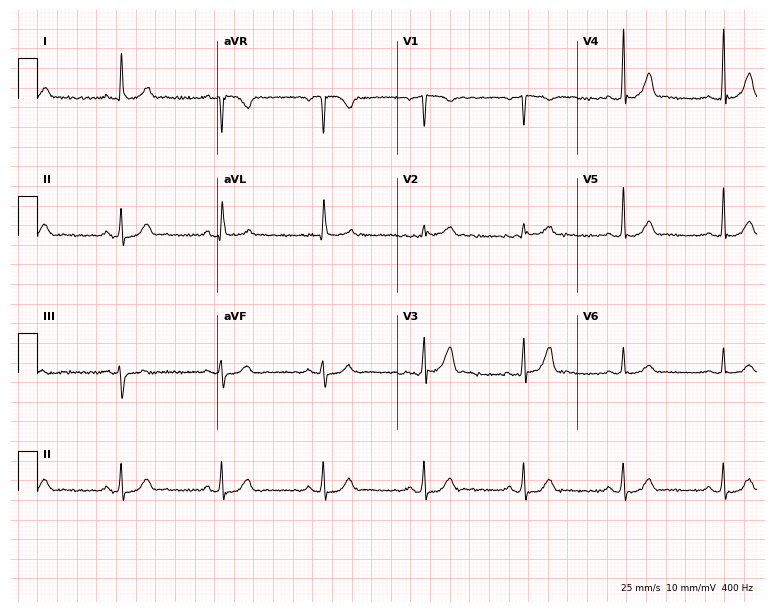
Electrocardiogram (7.3-second recording at 400 Hz), a 61-year-old male. Overall reading on record: normal ECG.